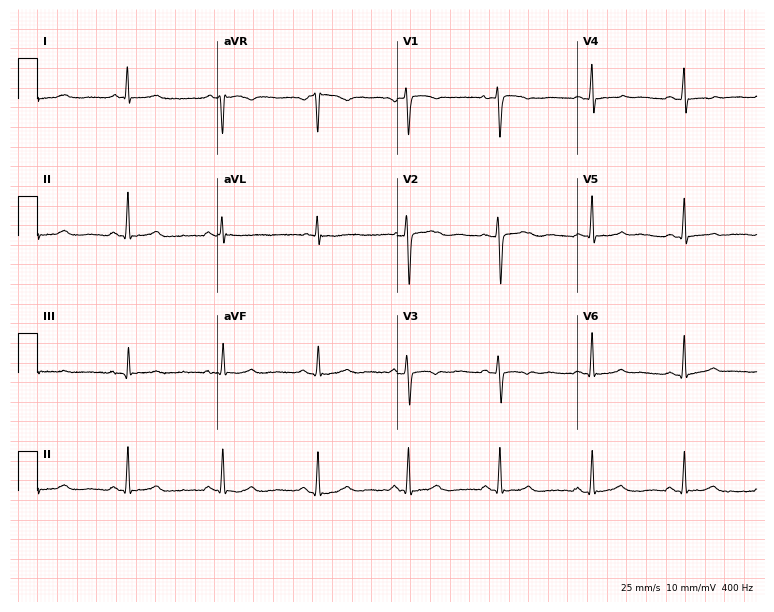
ECG (7.3-second recording at 400 Hz) — a 49-year-old female patient. Screened for six findings — first-degree AV block, right bundle branch block, left bundle branch block, sinus bradycardia, atrial fibrillation, sinus tachycardia — none is recorded.